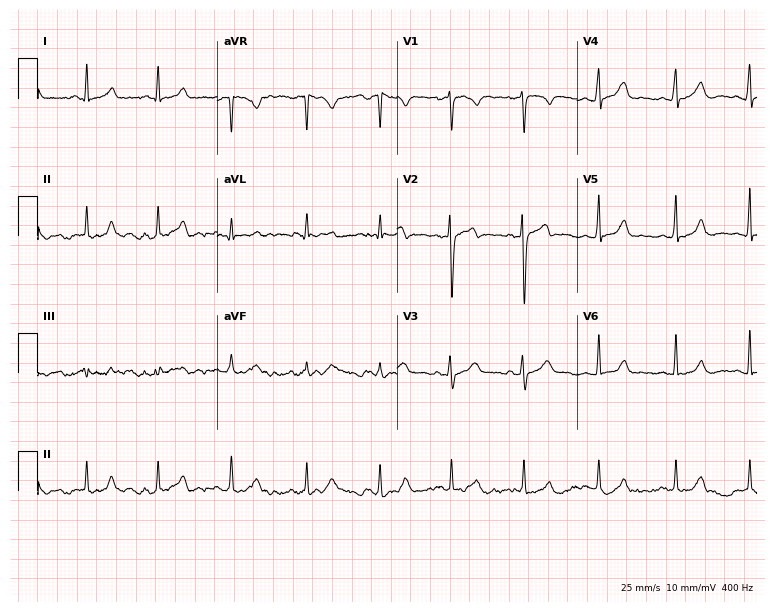
ECG (7.3-second recording at 400 Hz) — a 33-year-old female. Labelled as a normal ECG.